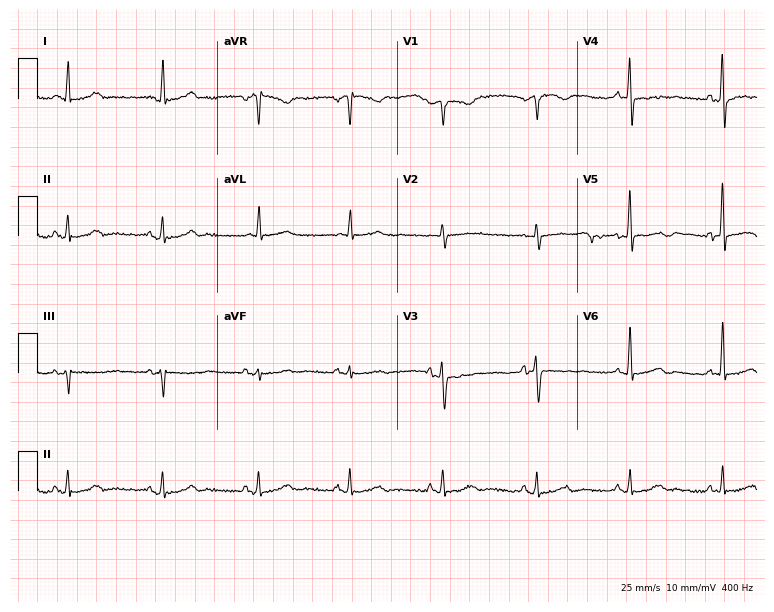
Resting 12-lead electrocardiogram (7.3-second recording at 400 Hz). Patient: a man, 65 years old. Read as a normal ECG.